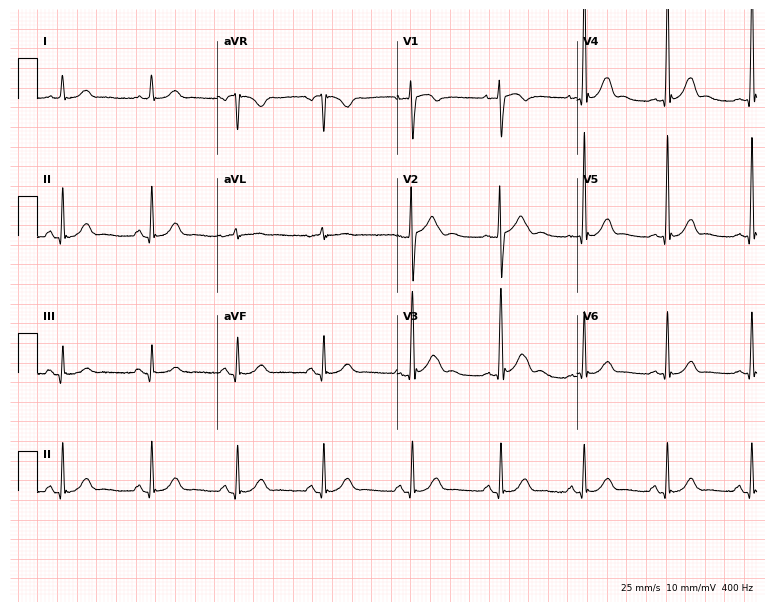
Resting 12-lead electrocardiogram (7.3-second recording at 400 Hz). Patient: a 29-year-old male. Read as a normal ECG.